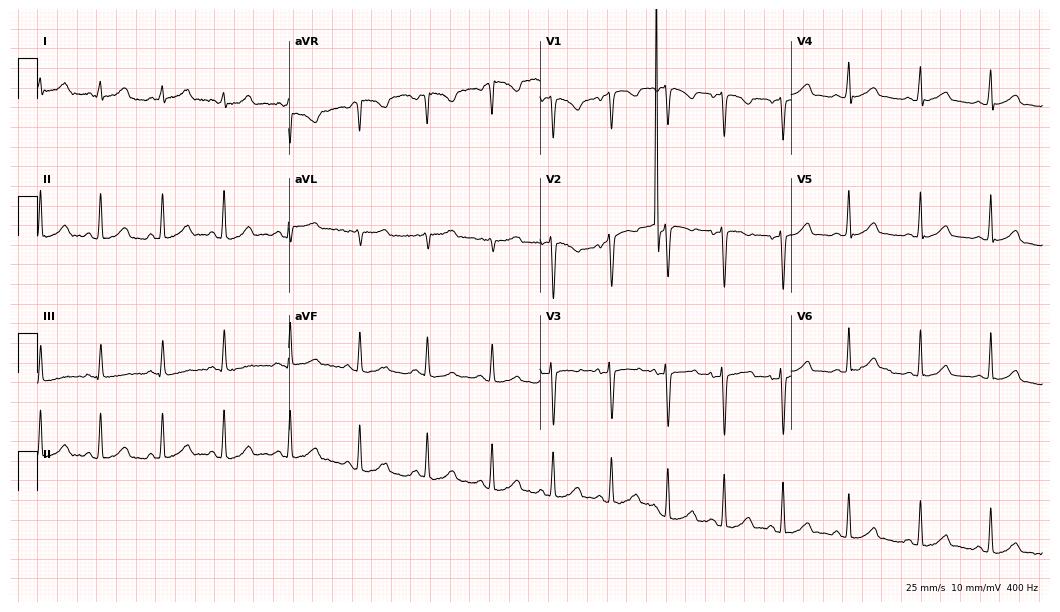
Electrocardiogram (10.2-second recording at 400 Hz), a female, 25 years old. Overall reading on record: normal ECG.